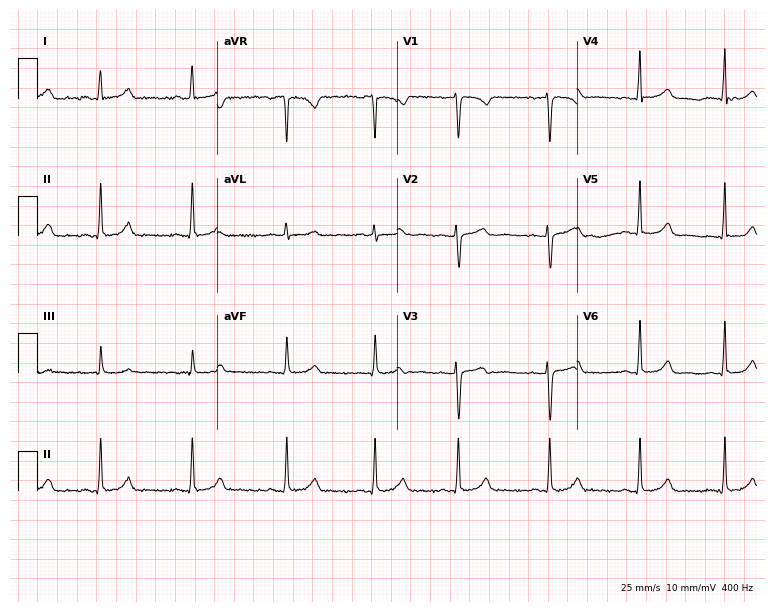
12-lead ECG from a 35-year-old female (7.3-second recording at 400 Hz). Recorded interpretation: within normal limits.